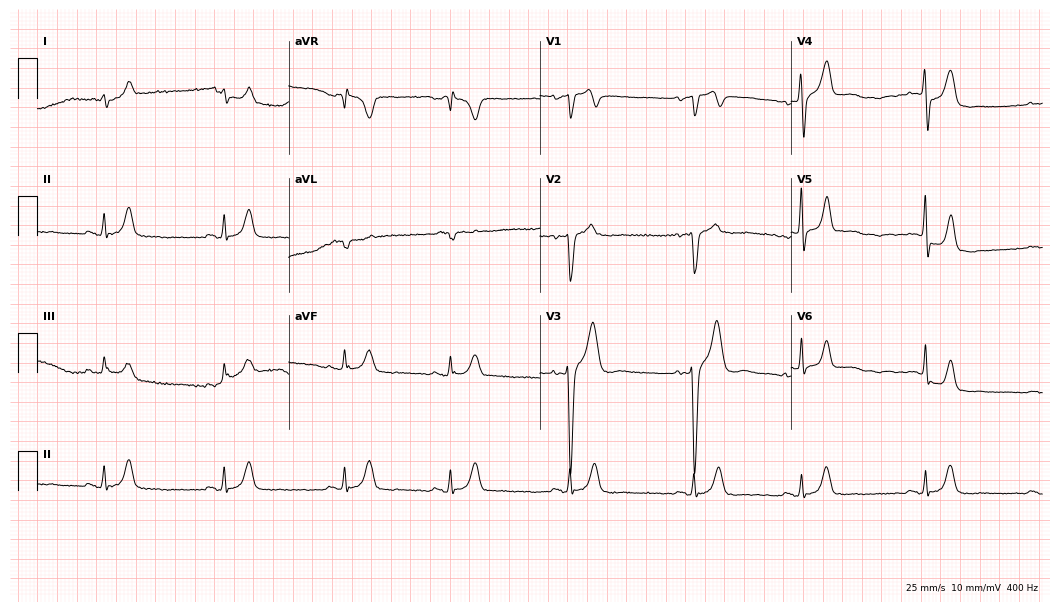
Resting 12-lead electrocardiogram (10.2-second recording at 400 Hz). Patient: a male, 30 years old. None of these six findings is recorded: first-degree AV block, right bundle branch block (RBBB), left bundle branch block (LBBB), sinus bradycardia, atrial fibrillation (AF), sinus tachycardia. Other findings, if any, are not listed.